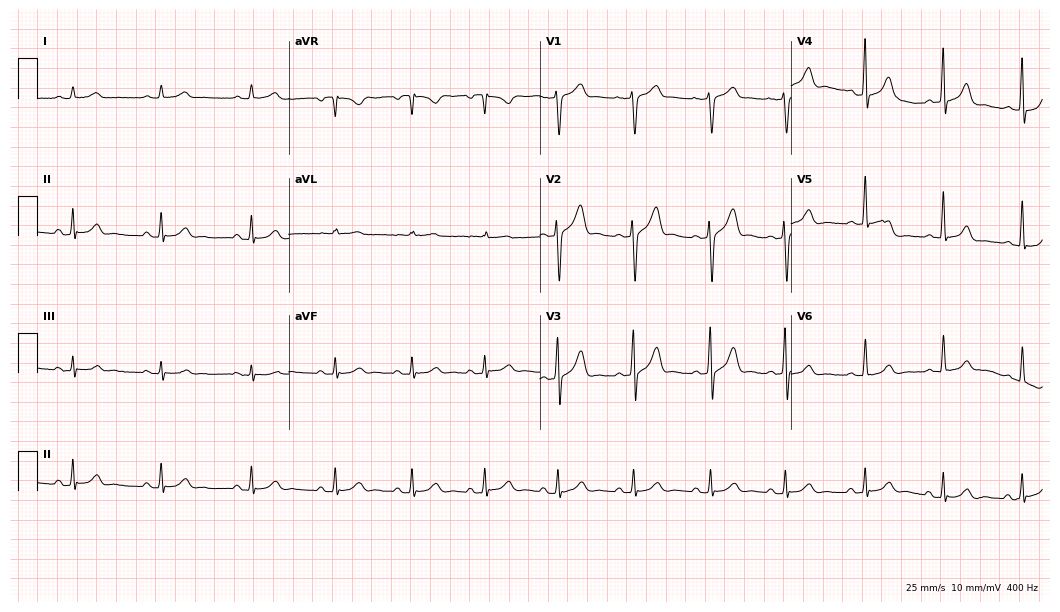
ECG — a man, 44 years old. Labelled as a normal ECG.